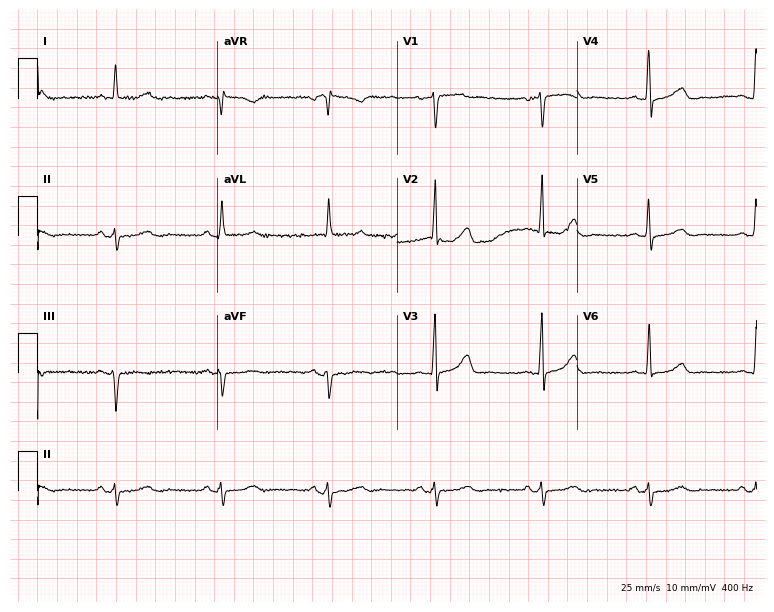
Resting 12-lead electrocardiogram (7.3-second recording at 400 Hz). Patient: a 67-year-old male. None of these six findings is recorded: first-degree AV block, right bundle branch block, left bundle branch block, sinus bradycardia, atrial fibrillation, sinus tachycardia.